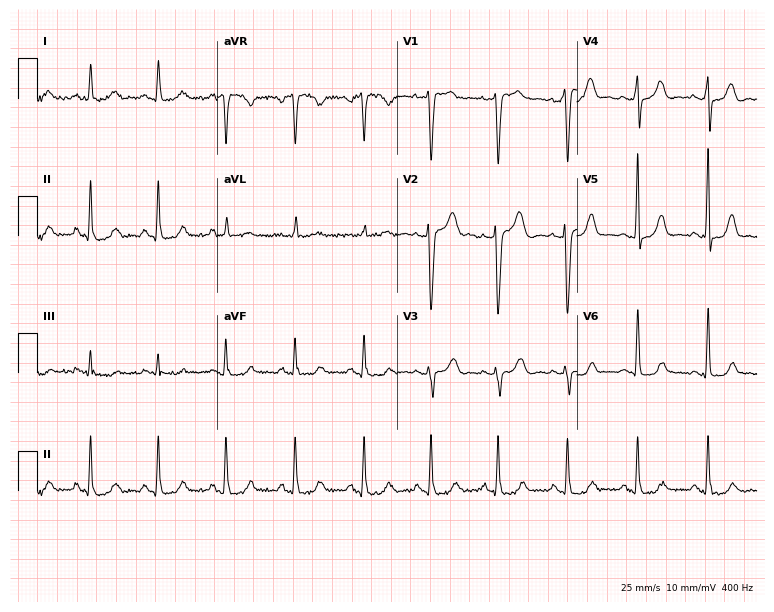
12-lead ECG (7.3-second recording at 400 Hz) from a 41-year-old female patient. Screened for six findings — first-degree AV block, right bundle branch block, left bundle branch block, sinus bradycardia, atrial fibrillation, sinus tachycardia — none is recorded.